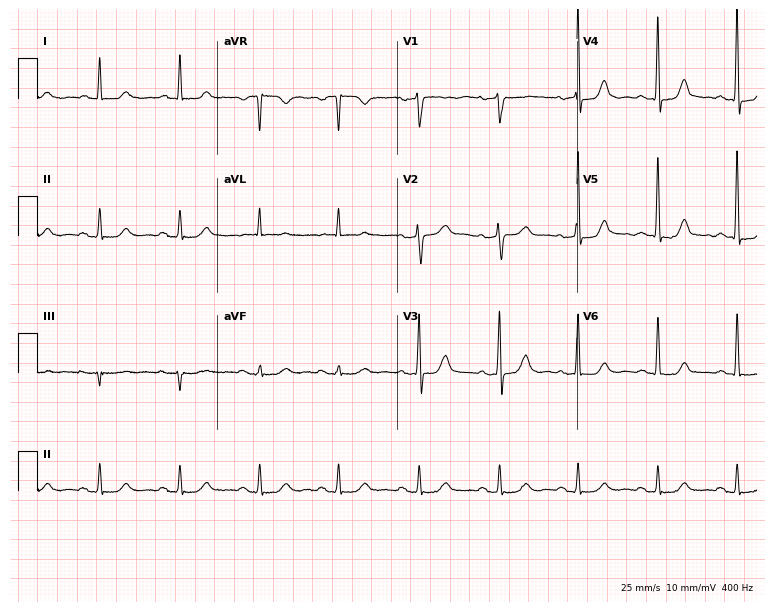
12-lead ECG from a female patient, 71 years old. No first-degree AV block, right bundle branch block, left bundle branch block, sinus bradycardia, atrial fibrillation or sinus tachycardia recorded for this tracing.